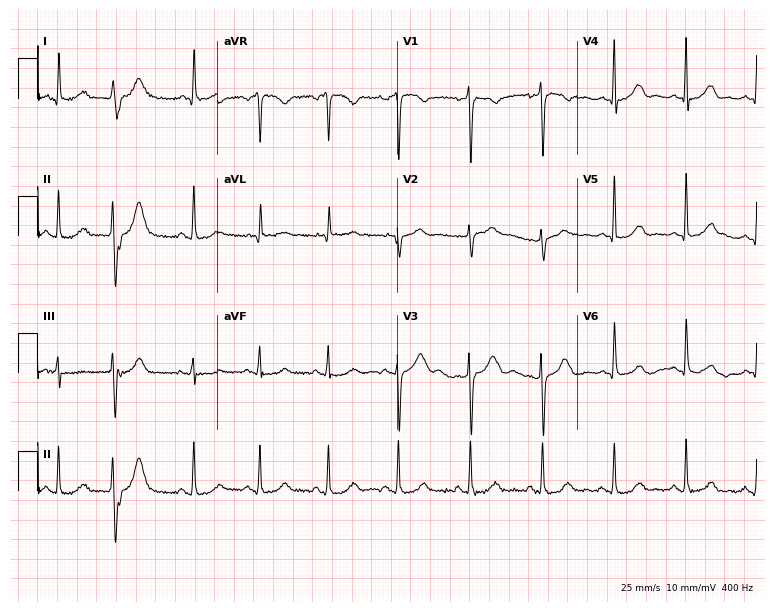
12-lead ECG (7.3-second recording at 400 Hz) from a woman, 43 years old. Screened for six findings — first-degree AV block, right bundle branch block, left bundle branch block, sinus bradycardia, atrial fibrillation, sinus tachycardia — none is recorded. Findings outside these six are not listed.